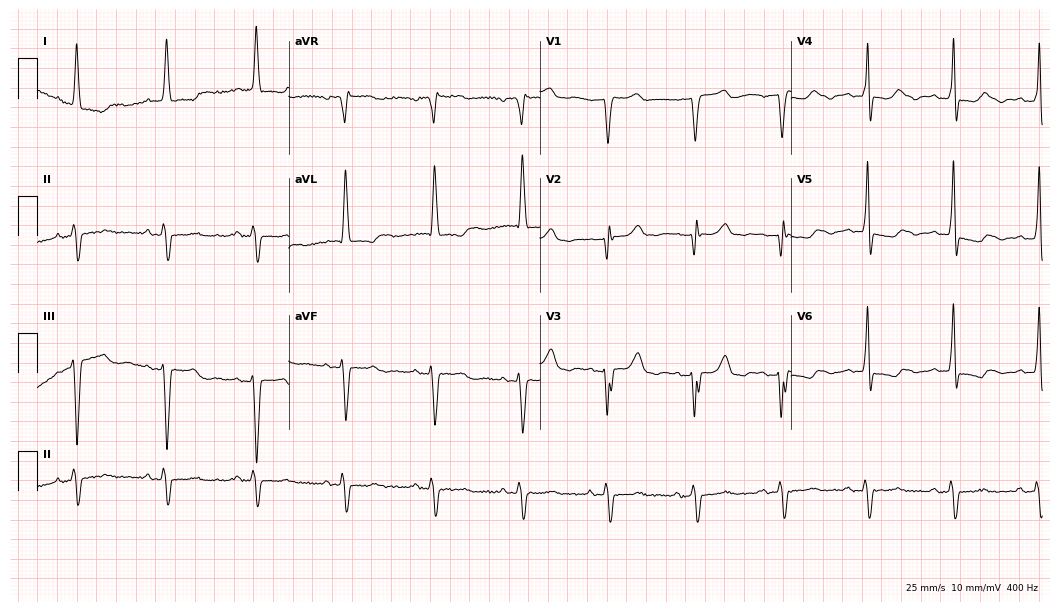
Resting 12-lead electrocardiogram. Patient: an 83-year-old female. None of these six findings is recorded: first-degree AV block, right bundle branch block (RBBB), left bundle branch block (LBBB), sinus bradycardia, atrial fibrillation (AF), sinus tachycardia. Other findings, if any, are not listed.